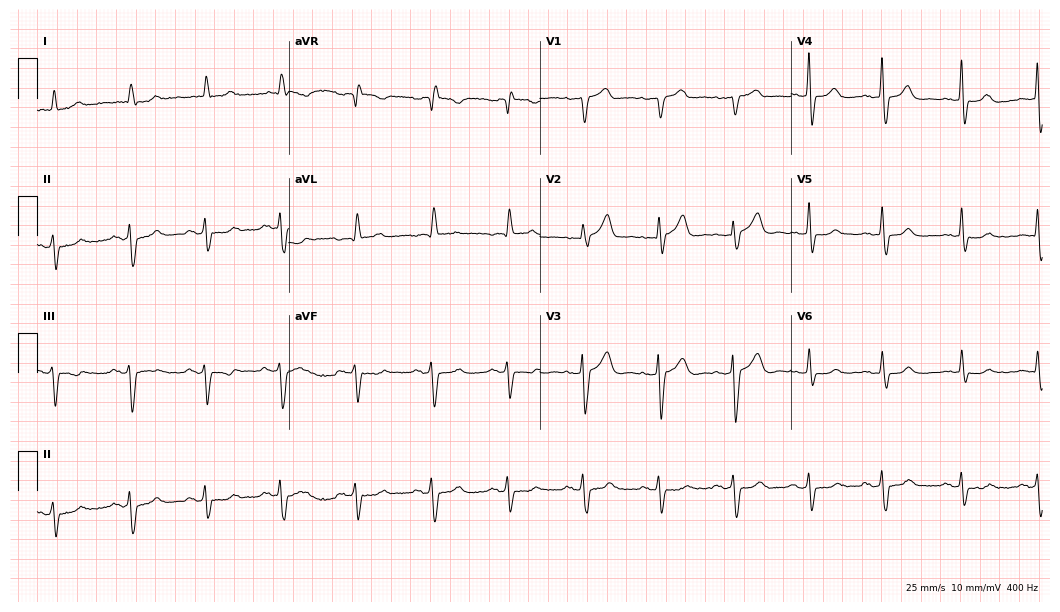
ECG — an 81-year-old man. Screened for six findings — first-degree AV block, right bundle branch block, left bundle branch block, sinus bradycardia, atrial fibrillation, sinus tachycardia — none is recorded. Findings outside these six are not listed.